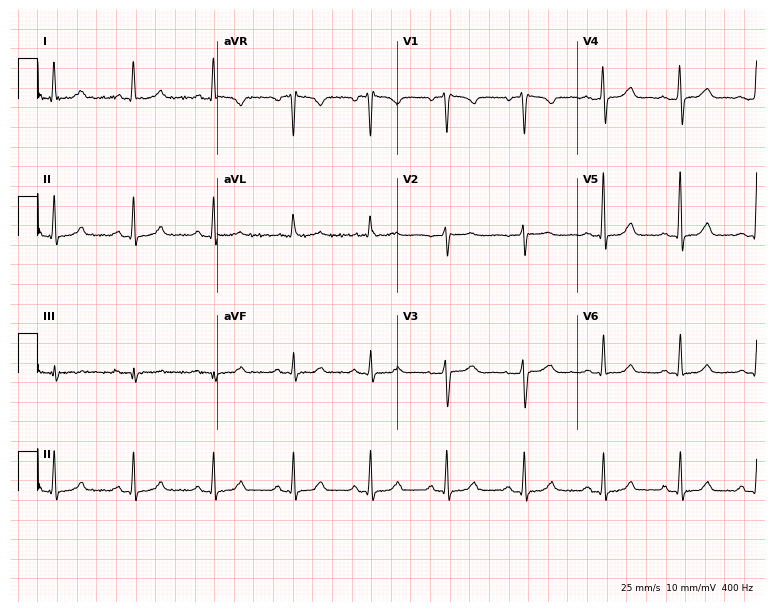
Resting 12-lead electrocardiogram. Patient: a 61-year-old female. Read as a normal ECG.